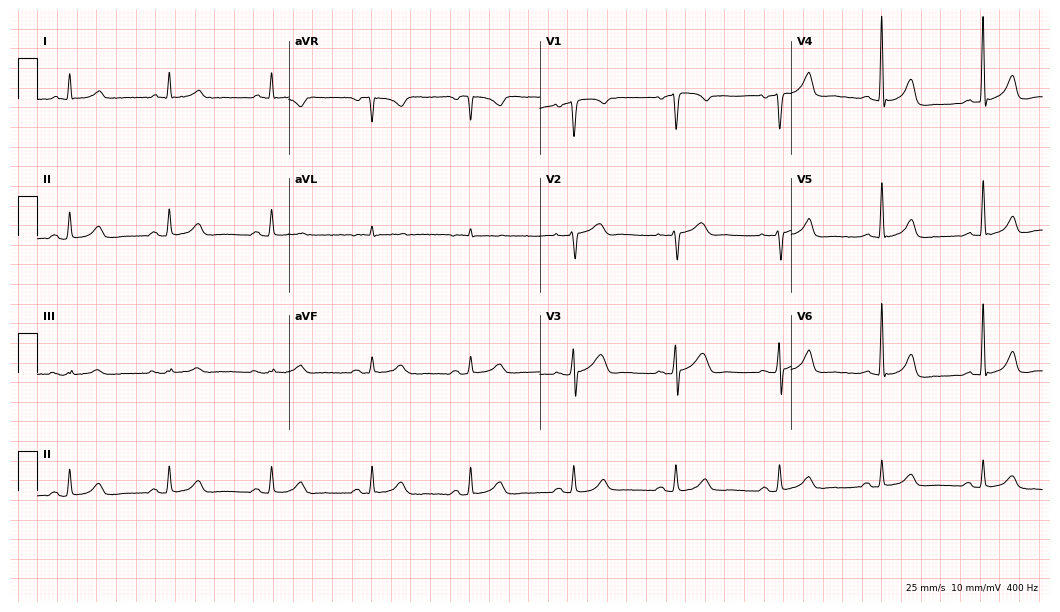
12-lead ECG from an 81-year-old male. Recorded interpretation: within normal limits.